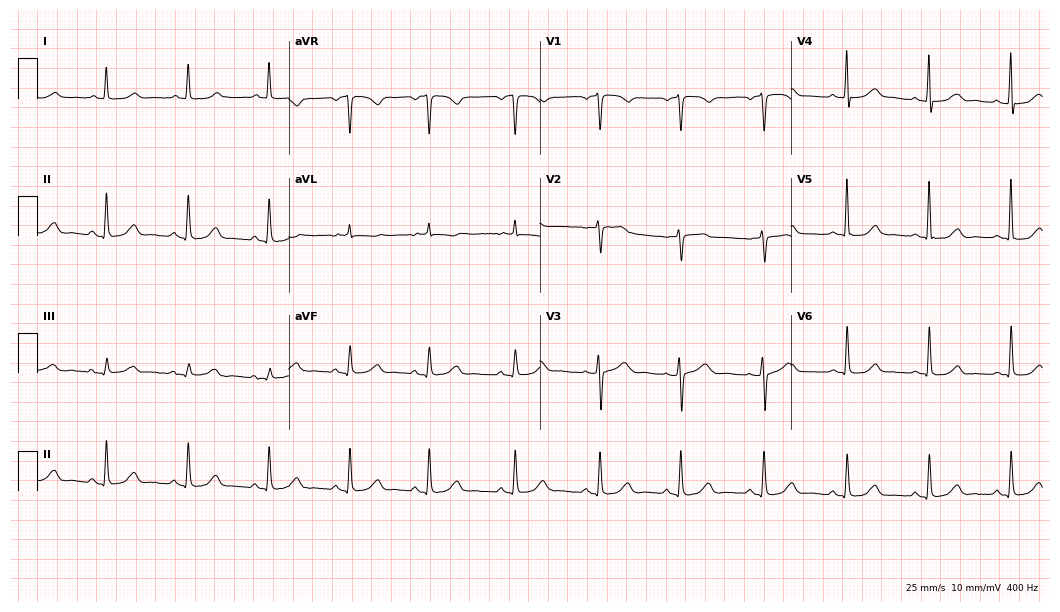
12-lead ECG from a woman, 63 years old. Recorded interpretation: within normal limits.